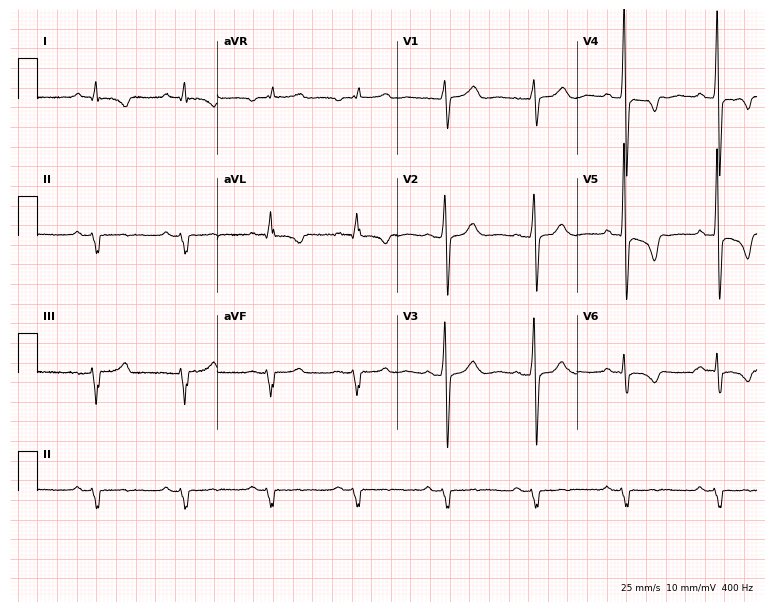
12-lead ECG from a 63-year-old male patient. No first-degree AV block, right bundle branch block (RBBB), left bundle branch block (LBBB), sinus bradycardia, atrial fibrillation (AF) or sinus tachycardia recorded for this tracing. Other findings, if any, are not listed.